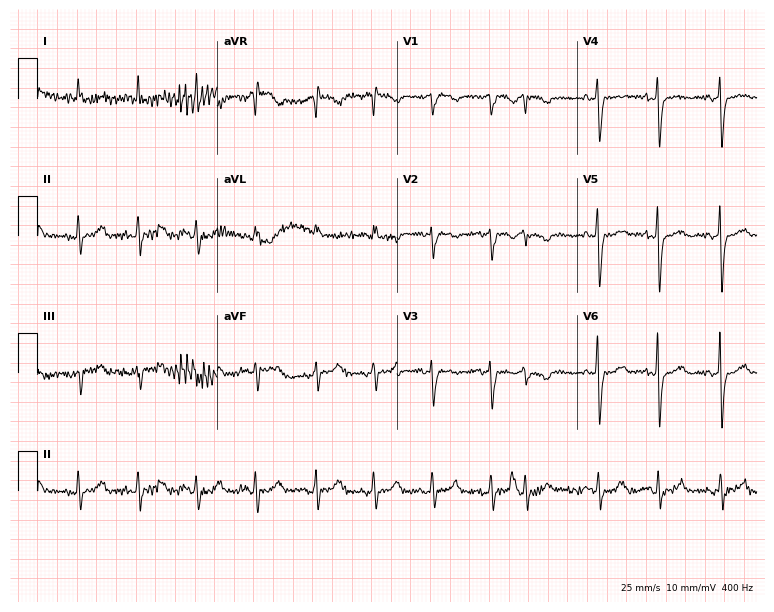
12-lead ECG (7.3-second recording at 400 Hz) from a female patient, 74 years old. Findings include sinus tachycardia (a sinus rate of 100 beats per minute or more).